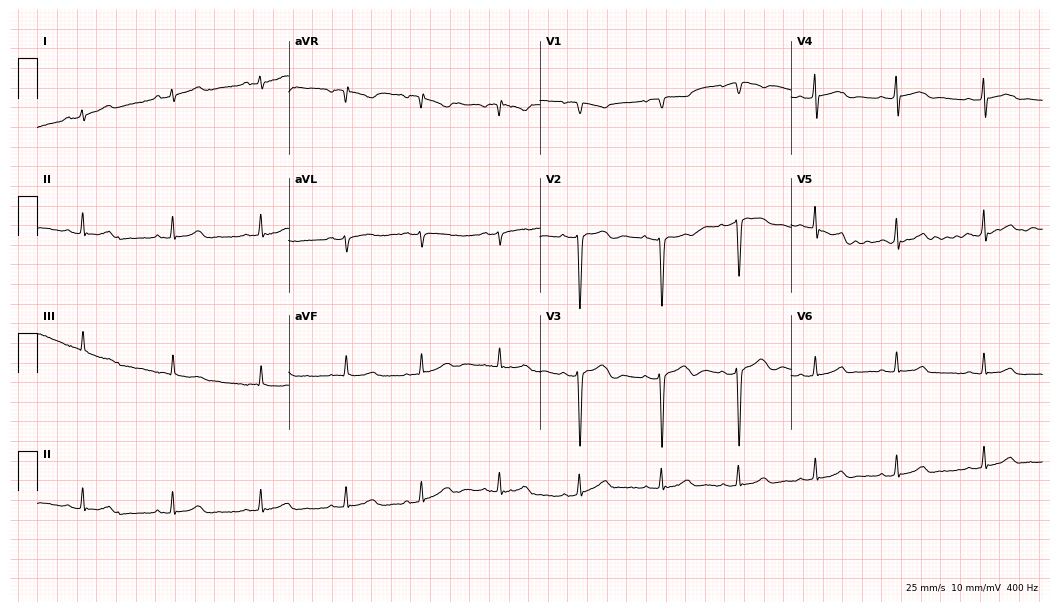
Resting 12-lead electrocardiogram. Patient: a 25-year-old woman. Read as a normal ECG.